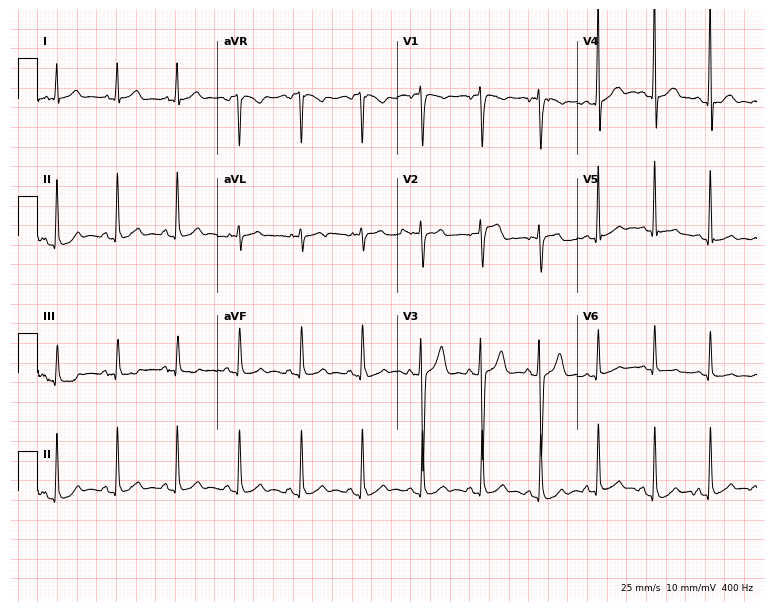
ECG — a 22-year-old male. Labelled as a normal ECG.